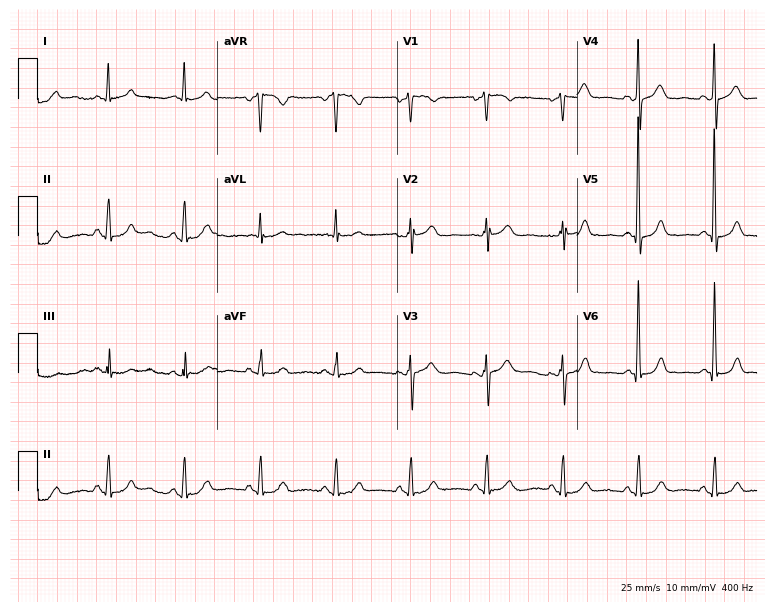
Electrocardiogram (7.3-second recording at 400 Hz), a woman, 69 years old. Of the six screened findings (first-degree AV block, right bundle branch block, left bundle branch block, sinus bradycardia, atrial fibrillation, sinus tachycardia), none is recorded.